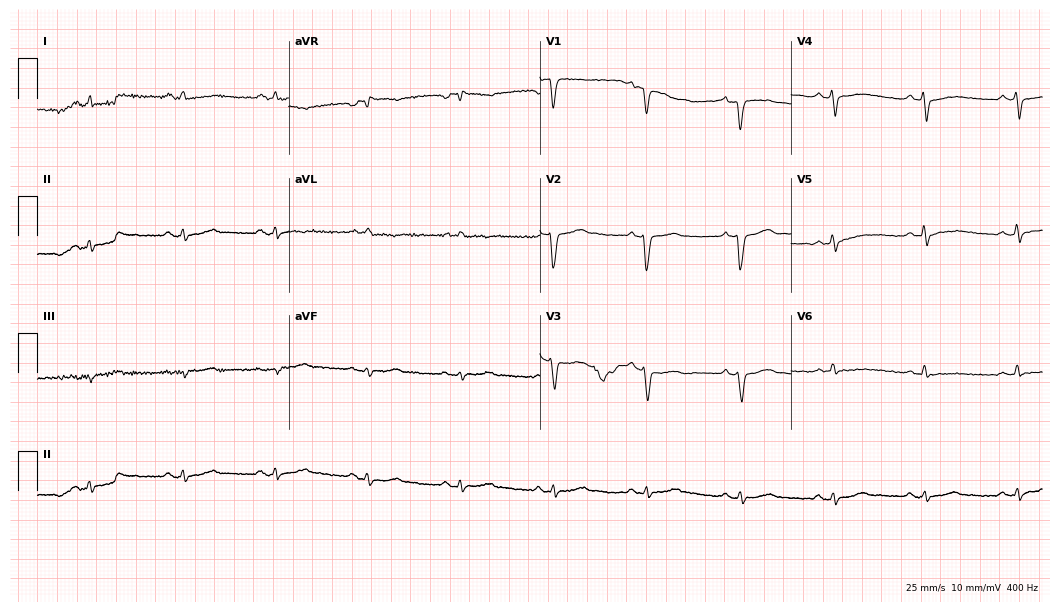
12-lead ECG from a male patient, 61 years old (10.2-second recording at 400 Hz). No first-degree AV block, right bundle branch block, left bundle branch block, sinus bradycardia, atrial fibrillation or sinus tachycardia recorded for this tracing. Only these six findings were labelled.